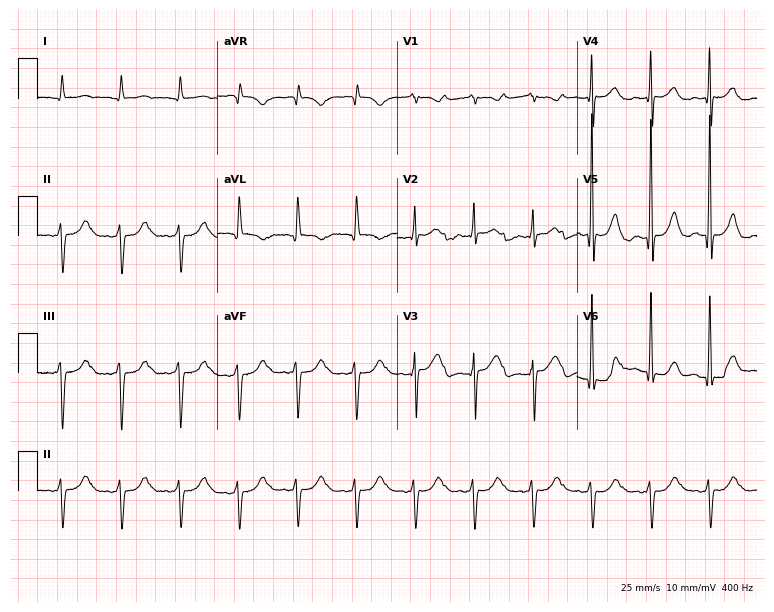
12-lead ECG from an 80-year-old man. No first-degree AV block, right bundle branch block, left bundle branch block, sinus bradycardia, atrial fibrillation or sinus tachycardia recorded for this tracing. Other findings, if any, are not listed.